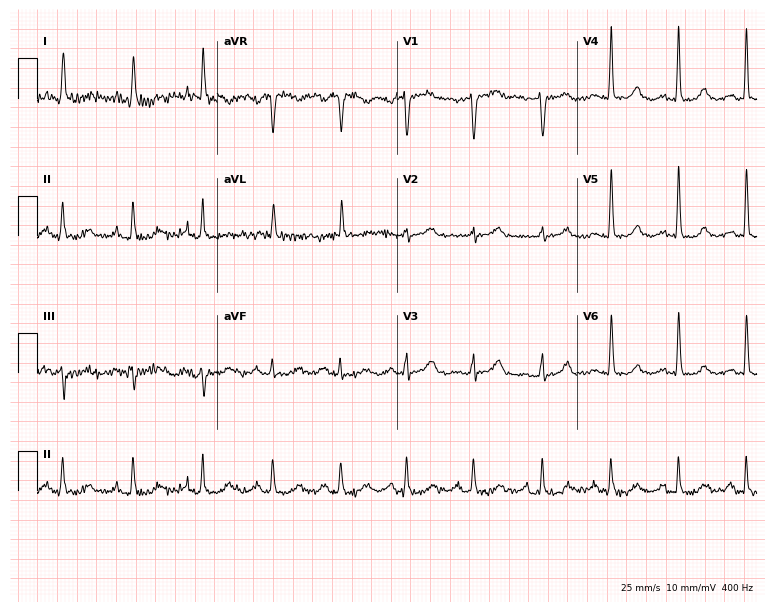
Electrocardiogram, an 84-year-old female patient. Overall reading on record: normal ECG.